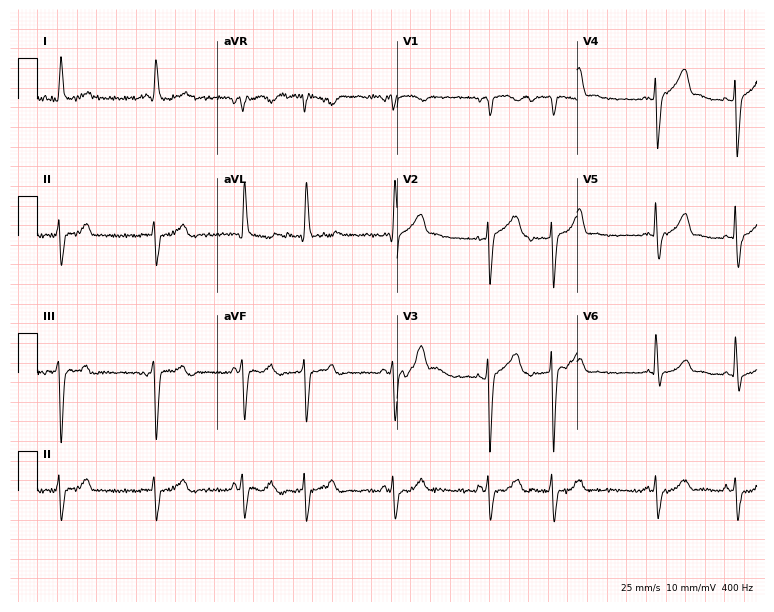
ECG — a man, 79 years old. Screened for six findings — first-degree AV block, right bundle branch block, left bundle branch block, sinus bradycardia, atrial fibrillation, sinus tachycardia — none is recorded. Findings outside these six are not listed.